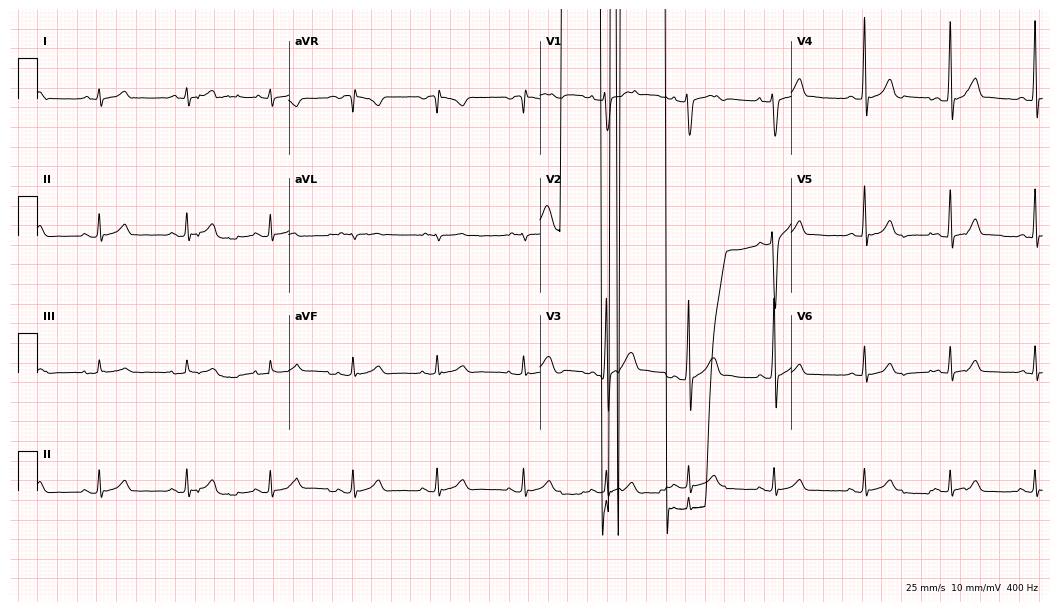
Electrocardiogram, a 20-year-old man. Of the six screened findings (first-degree AV block, right bundle branch block, left bundle branch block, sinus bradycardia, atrial fibrillation, sinus tachycardia), none is recorded. Findings outside these six are not listed.